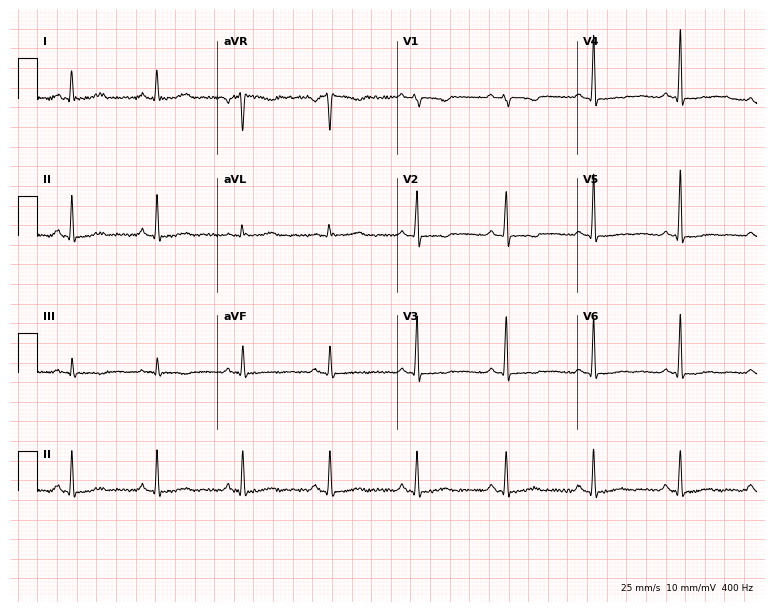
12-lead ECG from a 44-year-old female (7.3-second recording at 400 Hz). No first-degree AV block, right bundle branch block (RBBB), left bundle branch block (LBBB), sinus bradycardia, atrial fibrillation (AF) or sinus tachycardia recorded for this tracing. Findings outside these six are not listed.